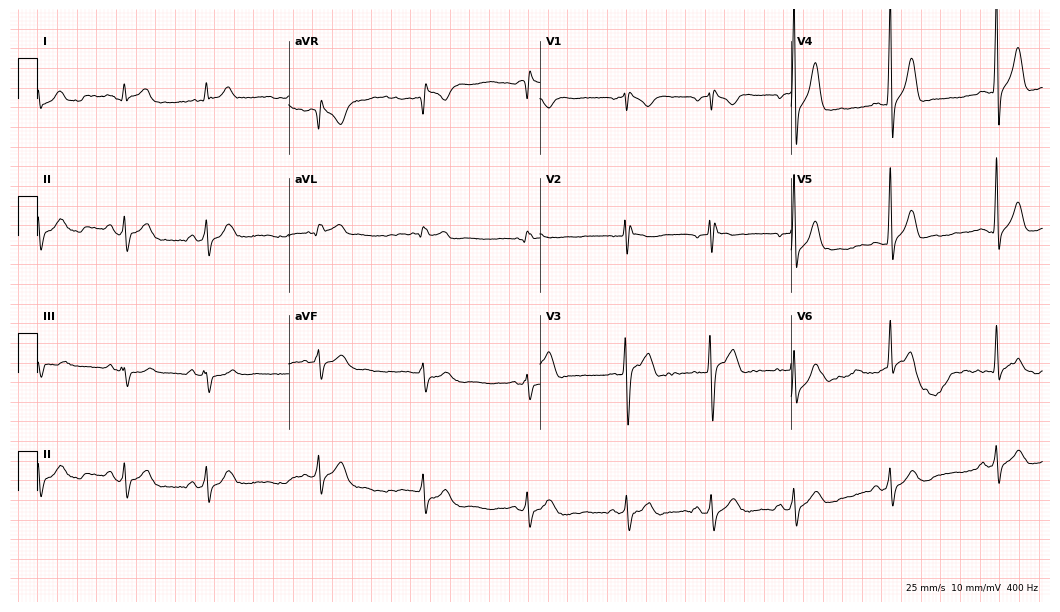
Resting 12-lead electrocardiogram. Patient: a 28-year-old male. None of these six findings is recorded: first-degree AV block, right bundle branch block, left bundle branch block, sinus bradycardia, atrial fibrillation, sinus tachycardia.